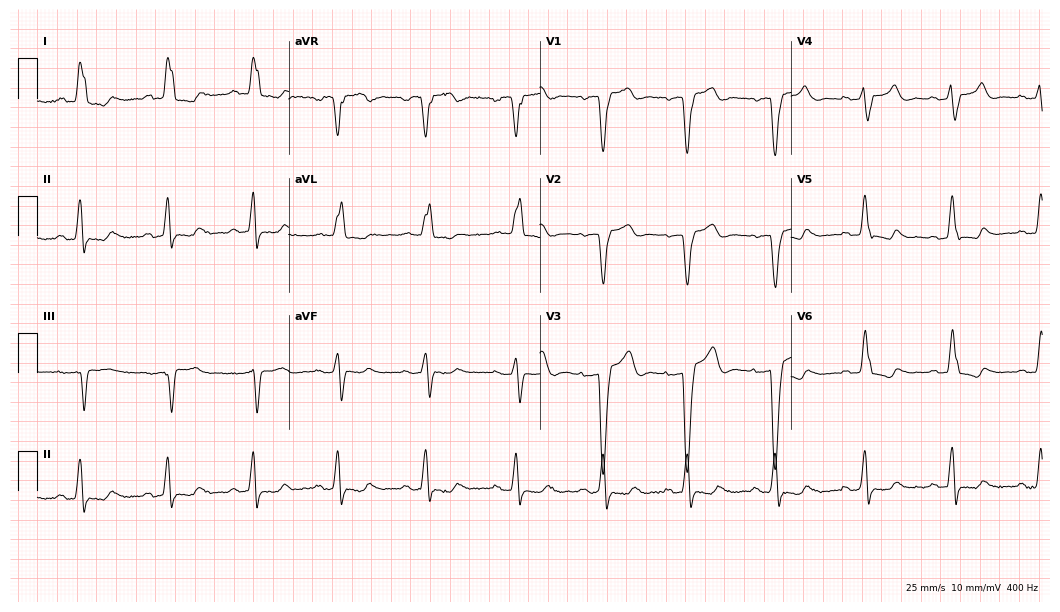
ECG (10.2-second recording at 400 Hz) — a female, 69 years old. Findings include left bundle branch block.